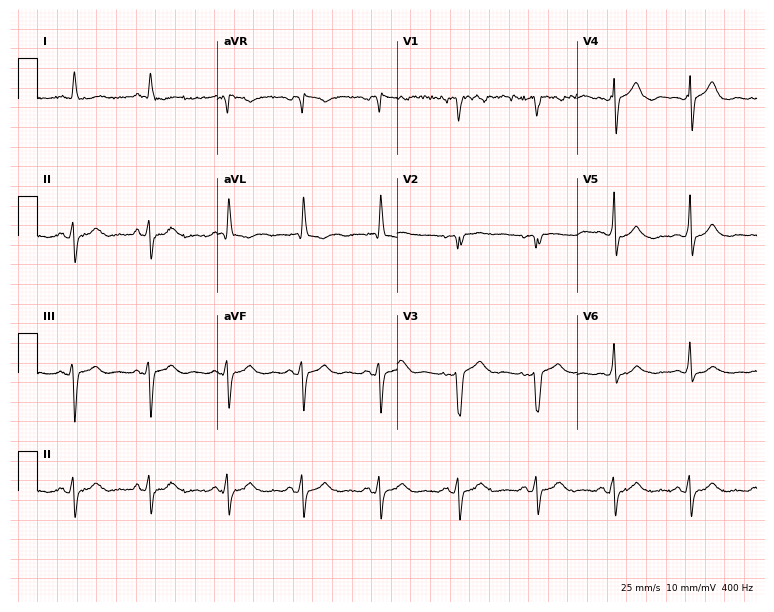
Standard 12-lead ECG recorded from an 80-year-old man (7.3-second recording at 400 Hz). None of these six findings is recorded: first-degree AV block, right bundle branch block, left bundle branch block, sinus bradycardia, atrial fibrillation, sinus tachycardia.